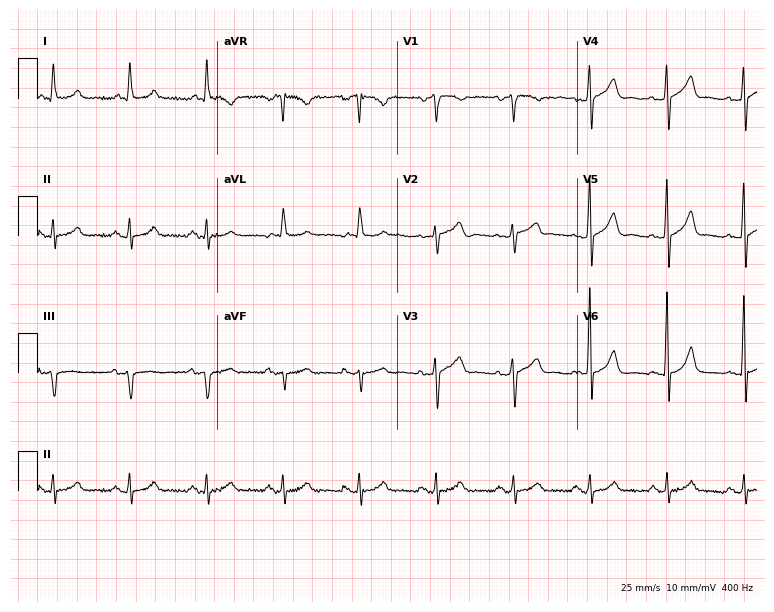
12-lead ECG from a male, 59 years old. Labelled as a normal ECG.